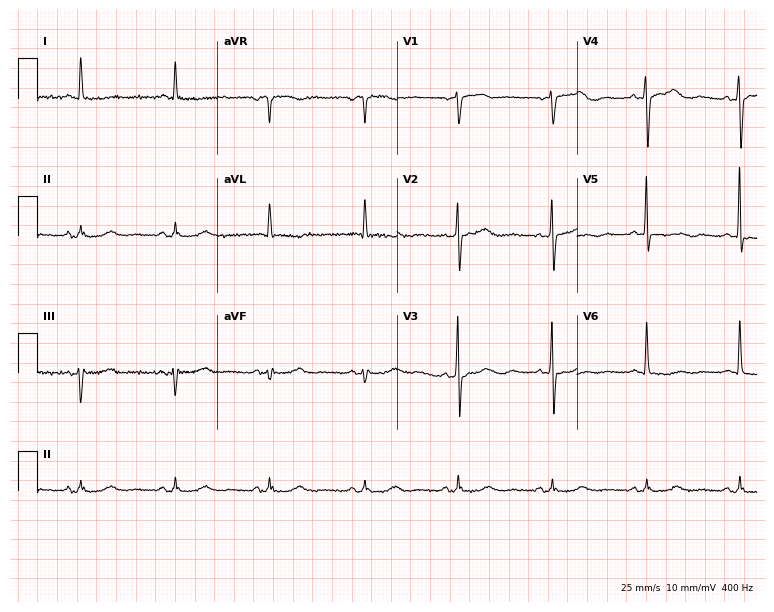
Standard 12-lead ECG recorded from a female, 67 years old (7.3-second recording at 400 Hz). None of these six findings is recorded: first-degree AV block, right bundle branch block (RBBB), left bundle branch block (LBBB), sinus bradycardia, atrial fibrillation (AF), sinus tachycardia.